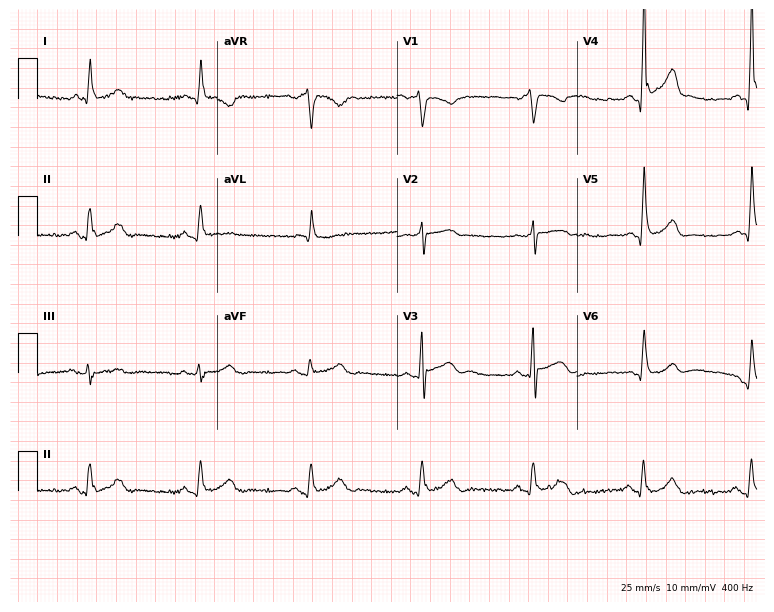
Standard 12-lead ECG recorded from a man, 78 years old. None of these six findings is recorded: first-degree AV block, right bundle branch block, left bundle branch block, sinus bradycardia, atrial fibrillation, sinus tachycardia.